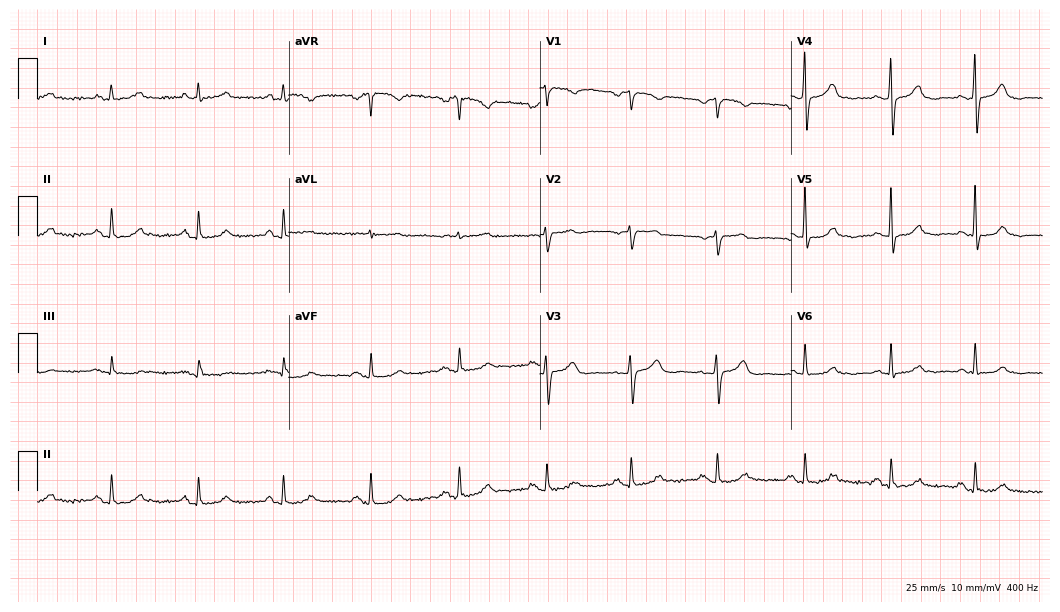
12-lead ECG (10.2-second recording at 400 Hz) from a woman, 68 years old. Labelled as a normal ECG.